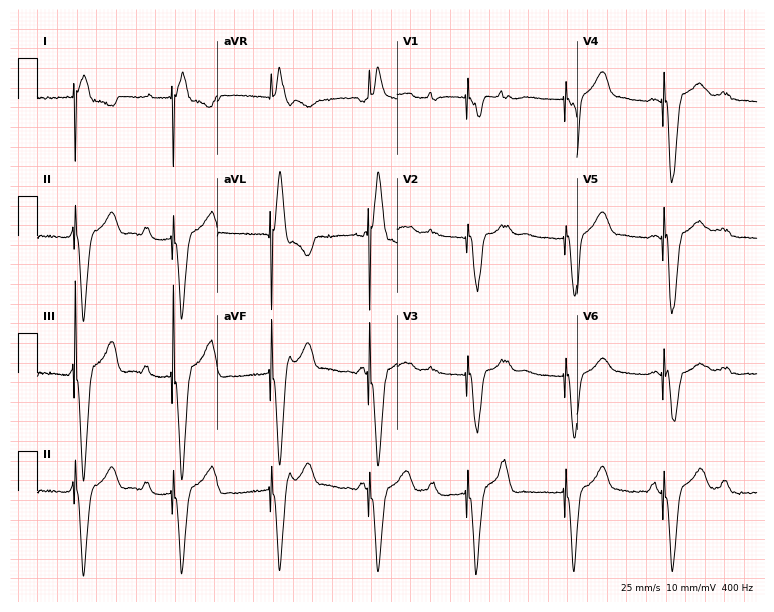
Electrocardiogram, a woman, 69 years old. Of the six screened findings (first-degree AV block, right bundle branch block, left bundle branch block, sinus bradycardia, atrial fibrillation, sinus tachycardia), none is recorded.